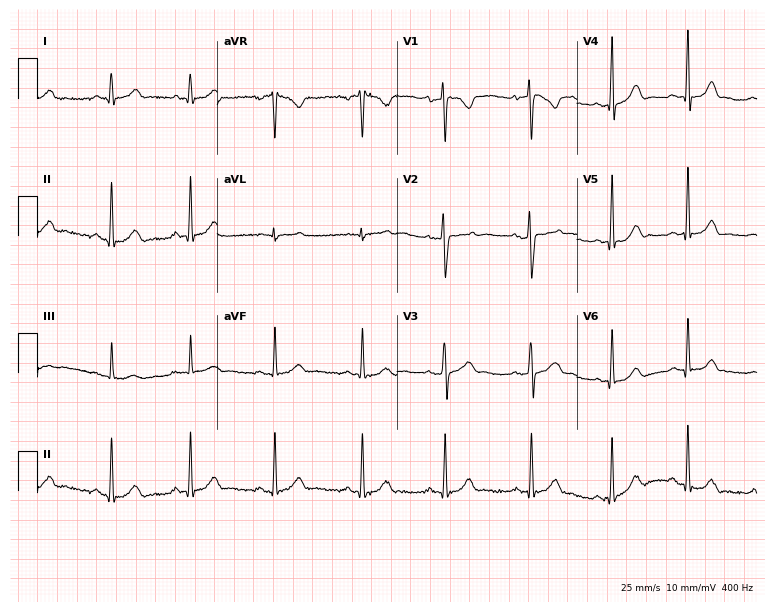
Electrocardiogram (7.3-second recording at 400 Hz), a female patient, 29 years old. Of the six screened findings (first-degree AV block, right bundle branch block, left bundle branch block, sinus bradycardia, atrial fibrillation, sinus tachycardia), none is recorded.